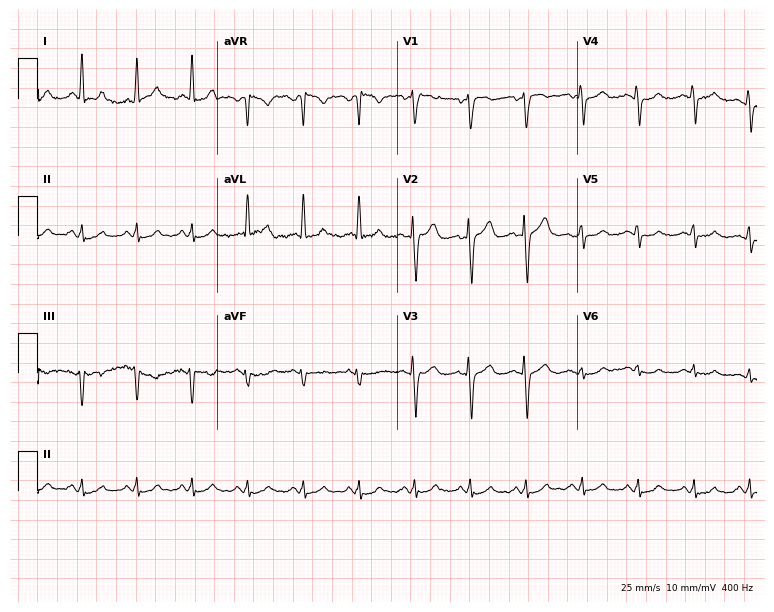
Standard 12-lead ECG recorded from a 53-year-old male (7.3-second recording at 400 Hz). None of these six findings is recorded: first-degree AV block, right bundle branch block, left bundle branch block, sinus bradycardia, atrial fibrillation, sinus tachycardia.